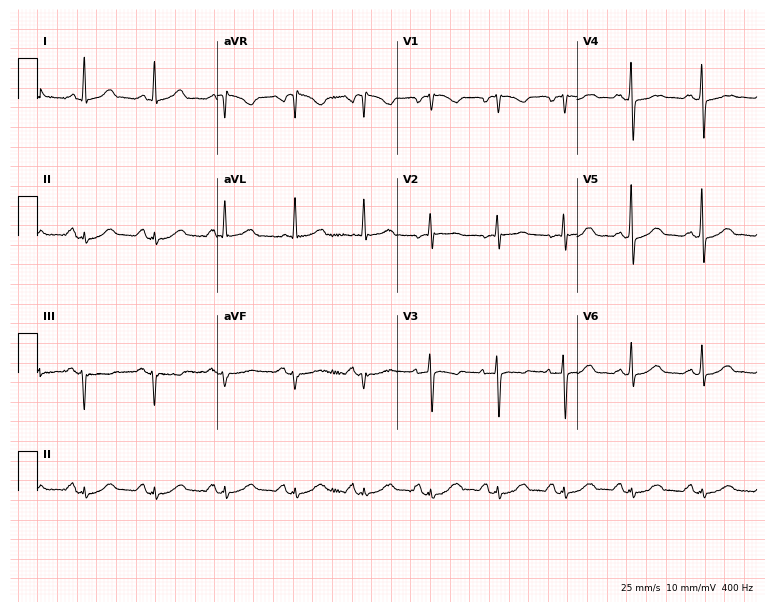
ECG — a 58-year-old female. Screened for six findings — first-degree AV block, right bundle branch block, left bundle branch block, sinus bradycardia, atrial fibrillation, sinus tachycardia — none is recorded. Findings outside these six are not listed.